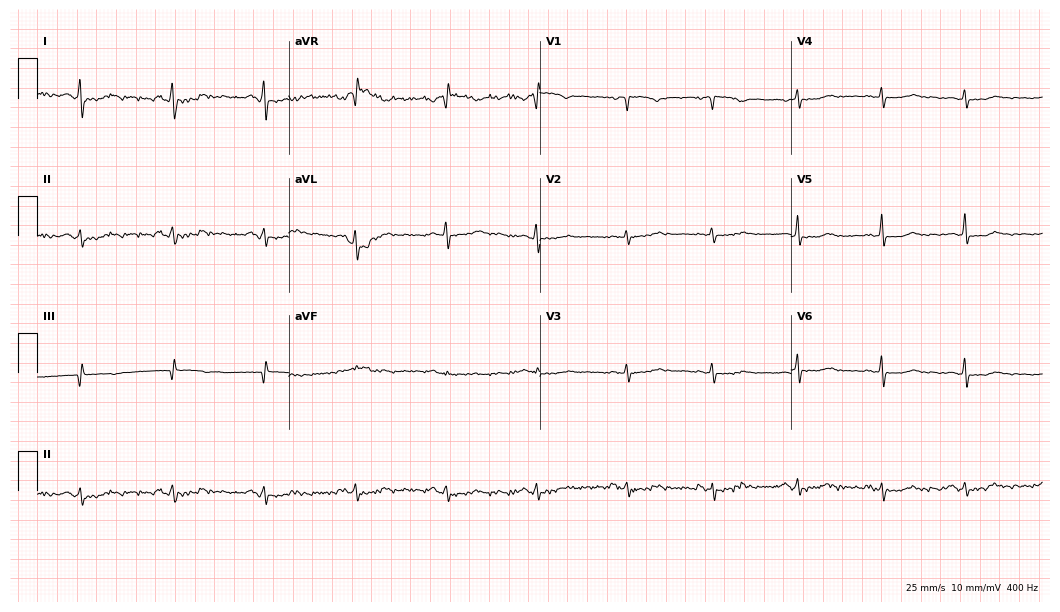
Electrocardiogram (10.2-second recording at 400 Hz), a woman, 68 years old. Of the six screened findings (first-degree AV block, right bundle branch block, left bundle branch block, sinus bradycardia, atrial fibrillation, sinus tachycardia), none is recorded. Findings outside these six are not listed.